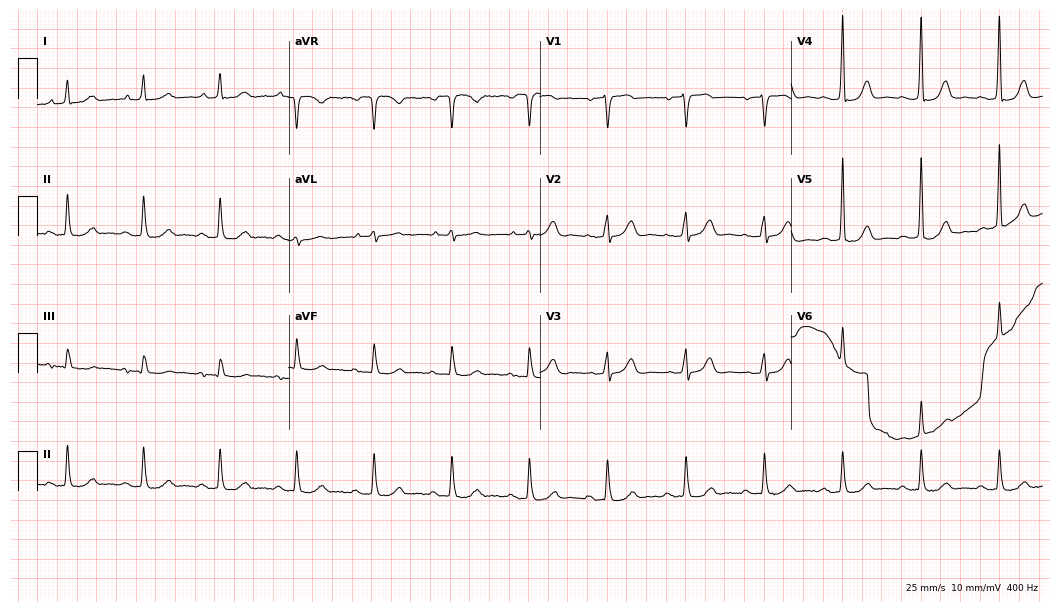
12-lead ECG from a woman, 81 years old (10.2-second recording at 400 Hz). Recorded interpretation: within normal limits.